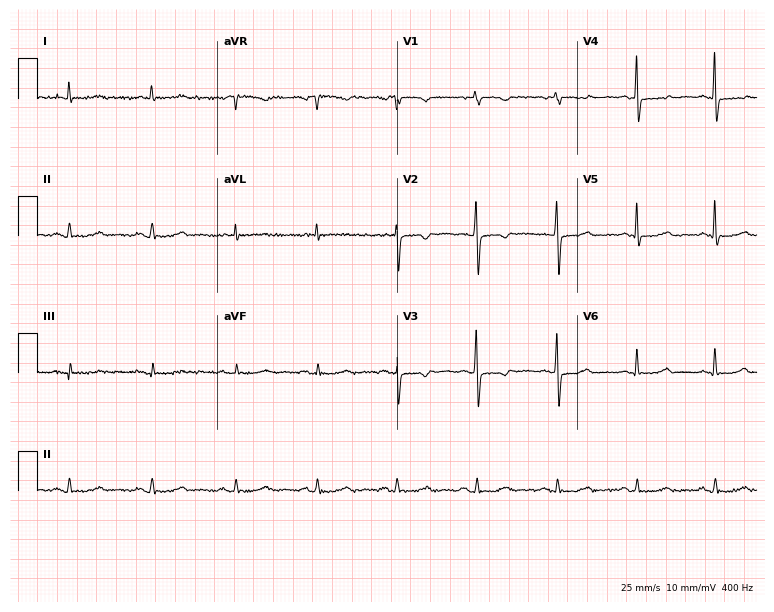
12-lead ECG (7.3-second recording at 400 Hz) from a female, 64 years old. Screened for six findings — first-degree AV block, right bundle branch block (RBBB), left bundle branch block (LBBB), sinus bradycardia, atrial fibrillation (AF), sinus tachycardia — none is recorded.